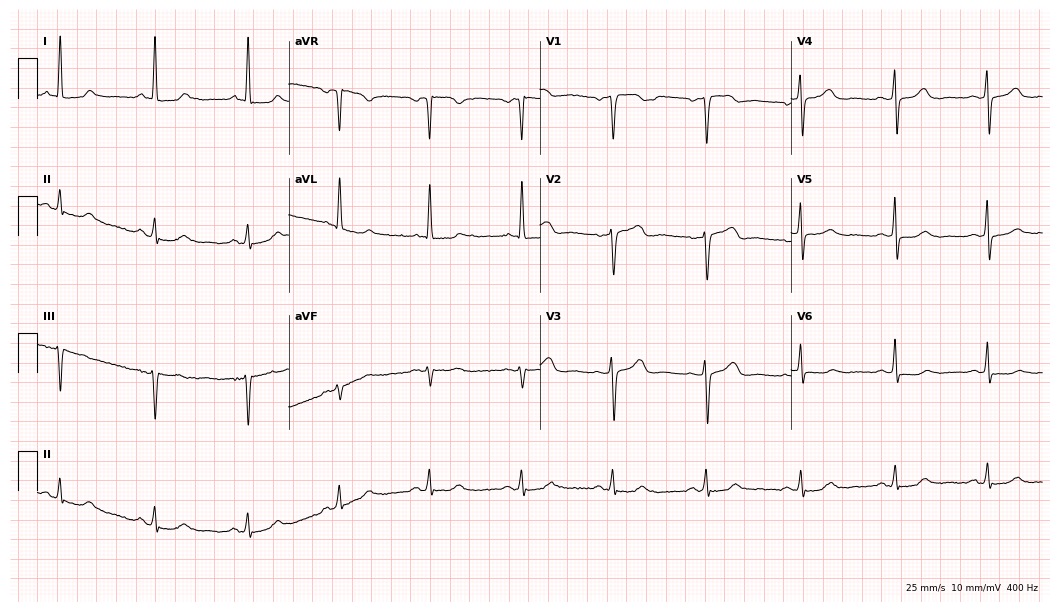
Standard 12-lead ECG recorded from a female, 68 years old (10.2-second recording at 400 Hz). None of these six findings is recorded: first-degree AV block, right bundle branch block, left bundle branch block, sinus bradycardia, atrial fibrillation, sinus tachycardia.